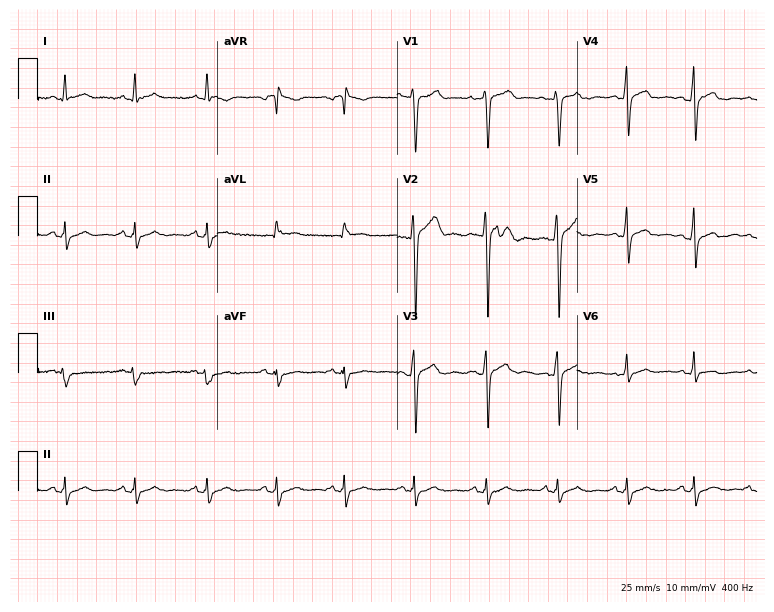
ECG (7.3-second recording at 400 Hz) — a 28-year-old male. Labelled as a normal ECG.